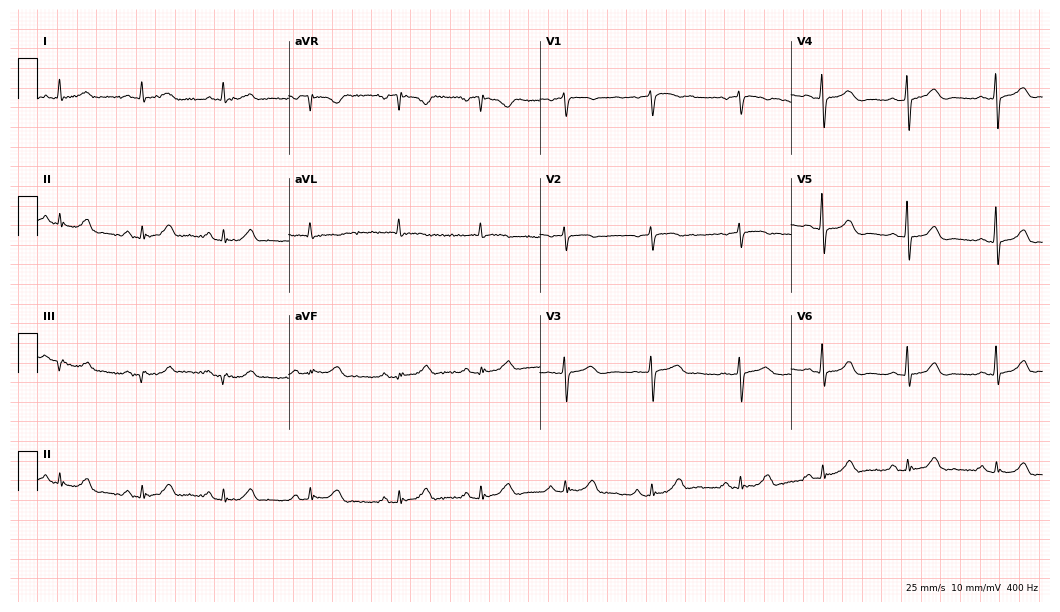
Standard 12-lead ECG recorded from a woman, 71 years old (10.2-second recording at 400 Hz). Read as a normal ECG.